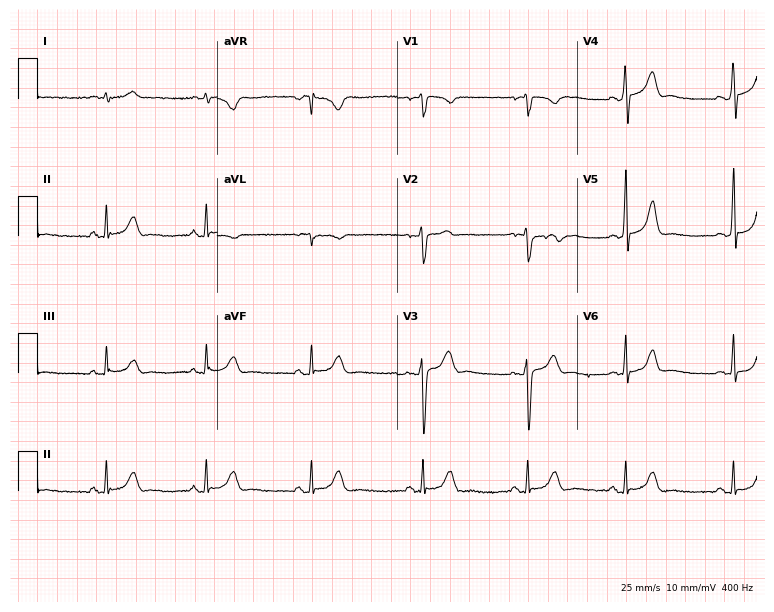
ECG — a 26-year-old male patient. Screened for six findings — first-degree AV block, right bundle branch block (RBBB), left bundle branch block (LBBB), sinus bradycardia, atrial fibrillation (AF), sinus tachycardia — none is recorded. Other findings, if any, are not listed.